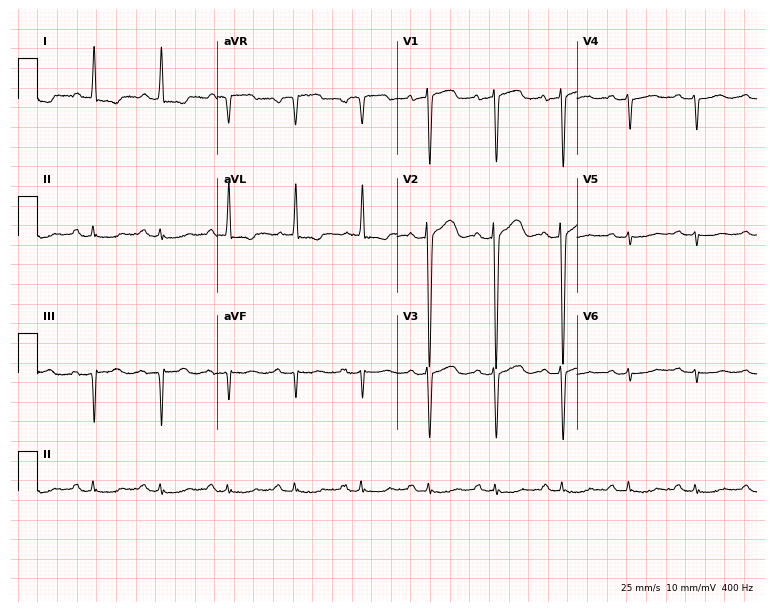
Standard 12-lead ECG recorded from a woman, 69 years old. None of these six findings is recorded: first-degree AV block, right bundle branch block, left bundle branch block, sinus bradycardia, atrial fibrillation, sinus tachycardia. Only these six findings were labelled.